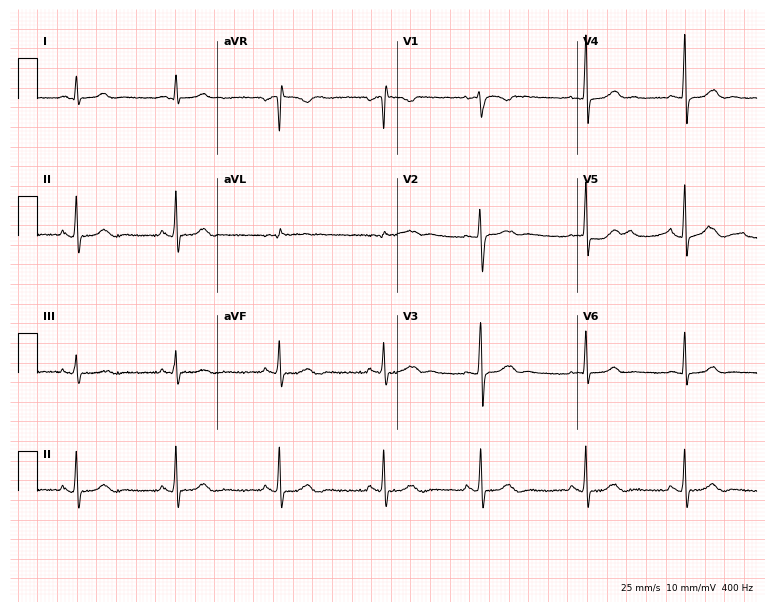
ECG — an 18-year-old woman. Screened for six findings — first-degree AV block, right bundle branch block (RBBB), left bundle branch block (LBBB), sinus bradycardia, atrial fibrillation (AF), sinus tachycardia — none is recorded. Only these six findings were labelled.